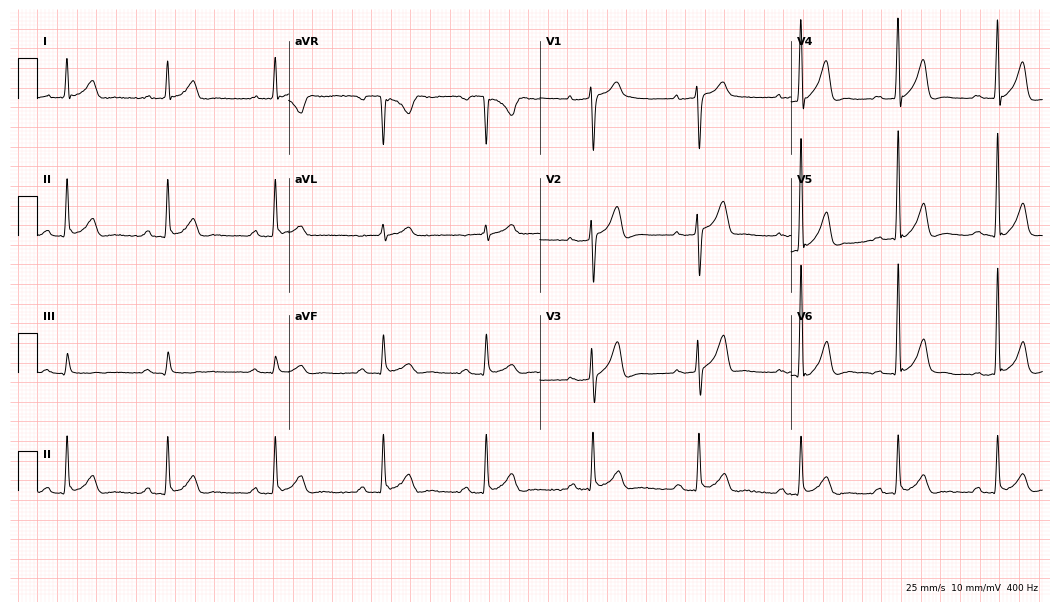
Resting 12-lead electrocardiogram. Patient: a man, 46 years old. The tracing shows first-degree AV block.